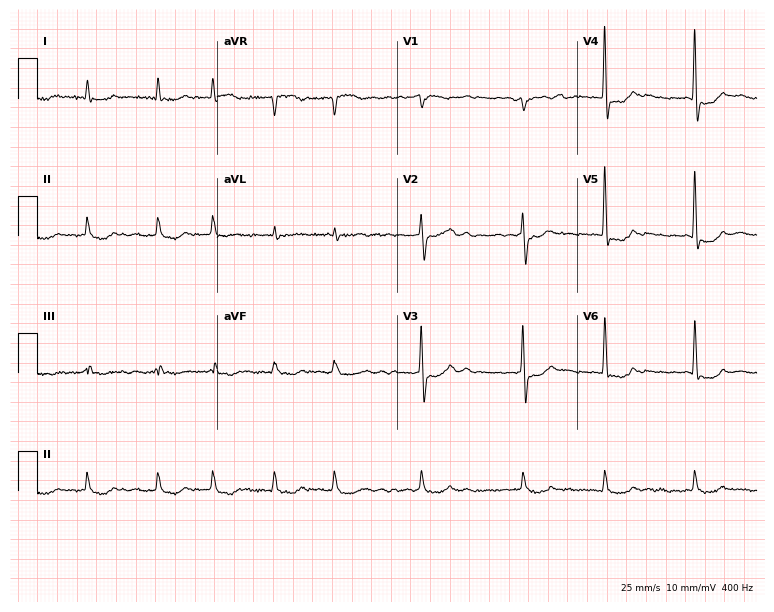
Electrocardiogram (7.3-second recording at 400 Hz), an 82-year-old male. Interpretation includes atrial fibrillation (AF).